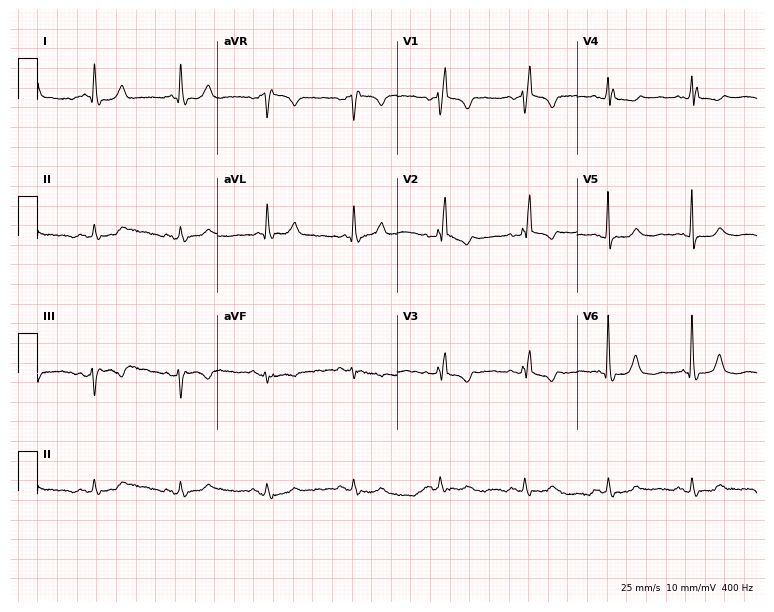
Electrocardiogram, a female, 78 years old. Interpretation includes right bundle branch block.